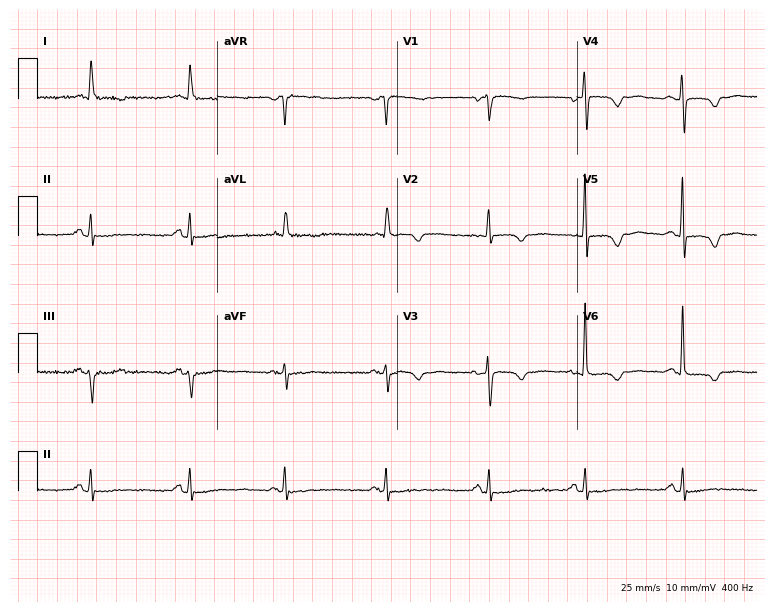
12-lead ECG from a female, 84 years old. No first-degree AV block, right bundle branch block, left bundle branch block, sinus bradycardia, atrial fibrillation or sinus tachycardia recorded for this tracing. Other findings, if any, are not listed.